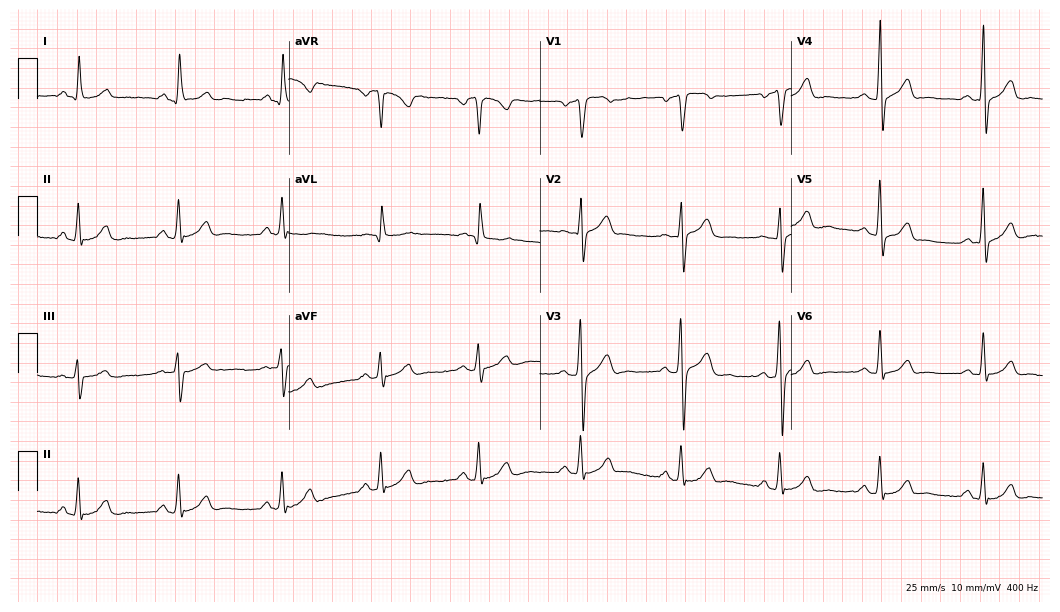
12-lead ECG from a man, 54 years old. Screened for six findings — first-degree AV block, right bundle branch block, left bundle branch block, sinus bradycardia, atrial fibrillation, sinus tachycardia — none is recorded.